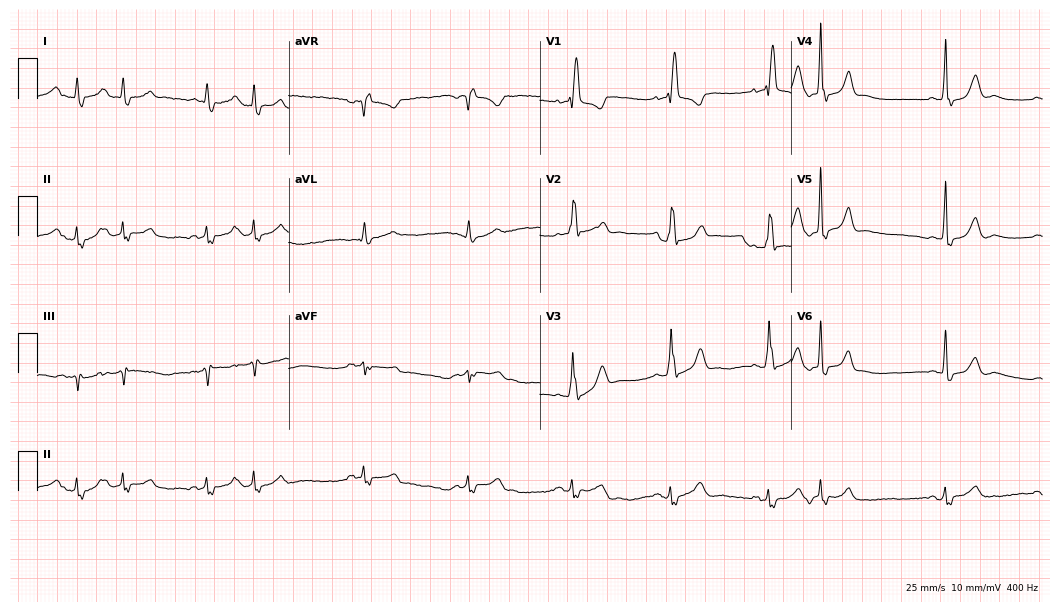
12-lead ECG from a 78-year-old woman. Shows right bundle branch block, atrial fibrillation.